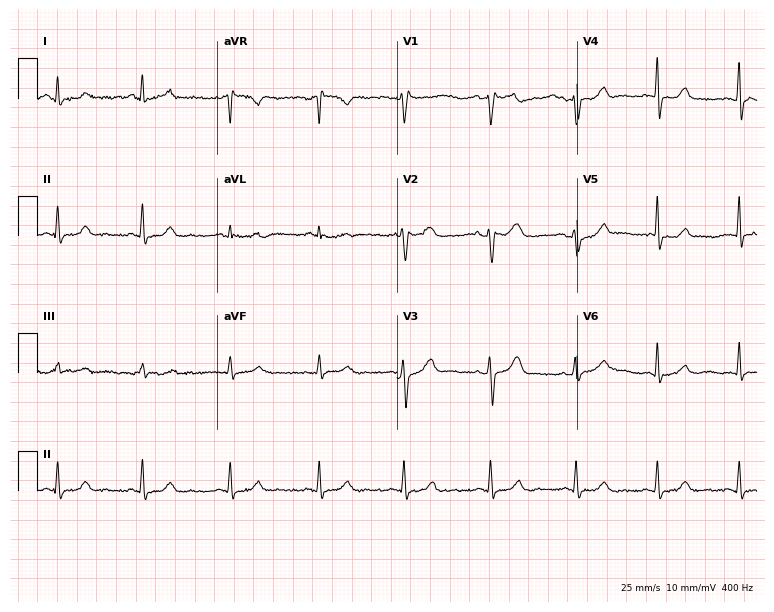
Resting 12-lead electrocardiogram (7.3-second recording at 400 Hz). Patient: a 37-year-old woman. Read as a normal ECG.